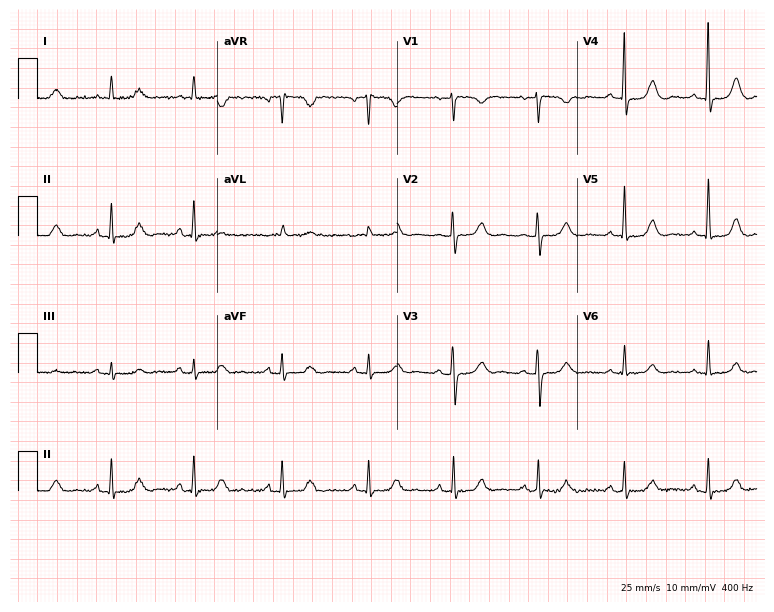
ECG — a woman, 81 years old. Labelled as a normal ECG.